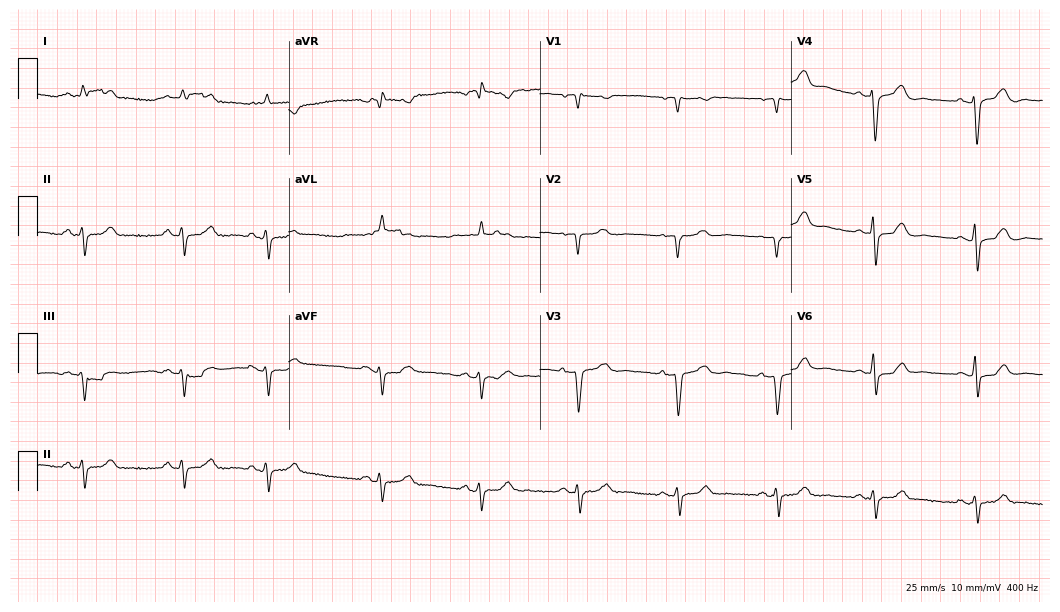
Resting 12-lead electrocardiogram. Patient: a female, 61 years old. None of these six findings is recorded: first-degree AV block, right bundle branch block (RBBB), left bundle branch block (LBBB), sinus bradycardia, atrial fibrillation (AF), sinus tachycardia. Findings outside these six are not listed.